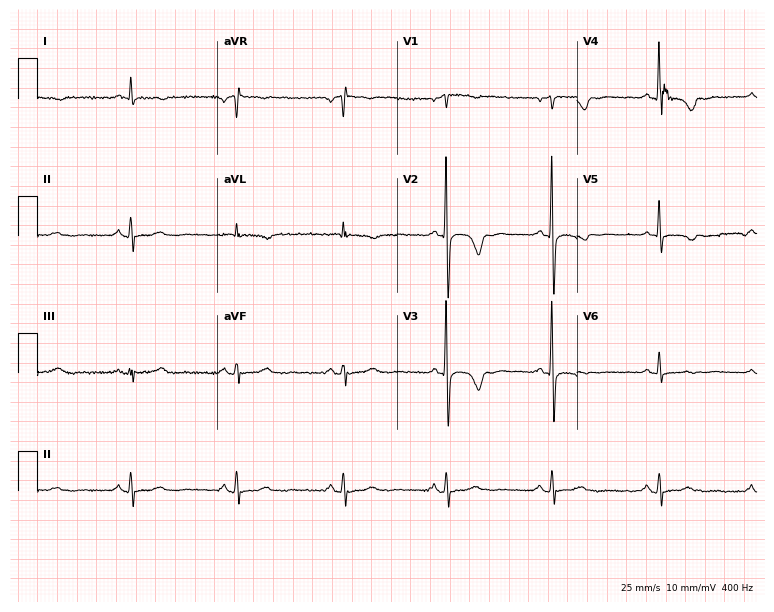
Electrocardiogram (7.3-second recording at 400 Hz), a female patient, 69 years old. Of the six screened findings (first-degree AV block, right bundle branch block, left bundle branch block, sinus bradycardia, atrial fibrillation, sinus tachycardia), none is recorded.